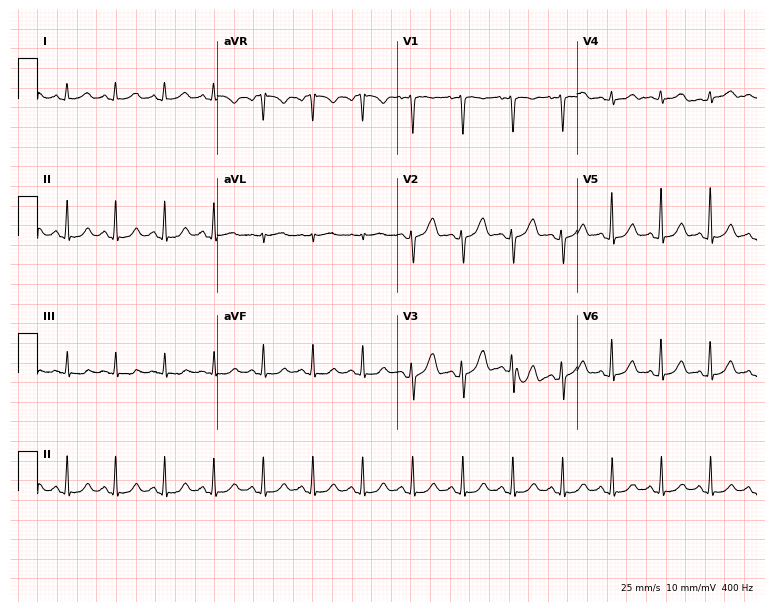
Electrocardiogram (7.3-second recording at 400 Hz), a female, 45 years old. Interpretation includes sinus tachycardia (a sinus rate of 100 beats per minute or more).